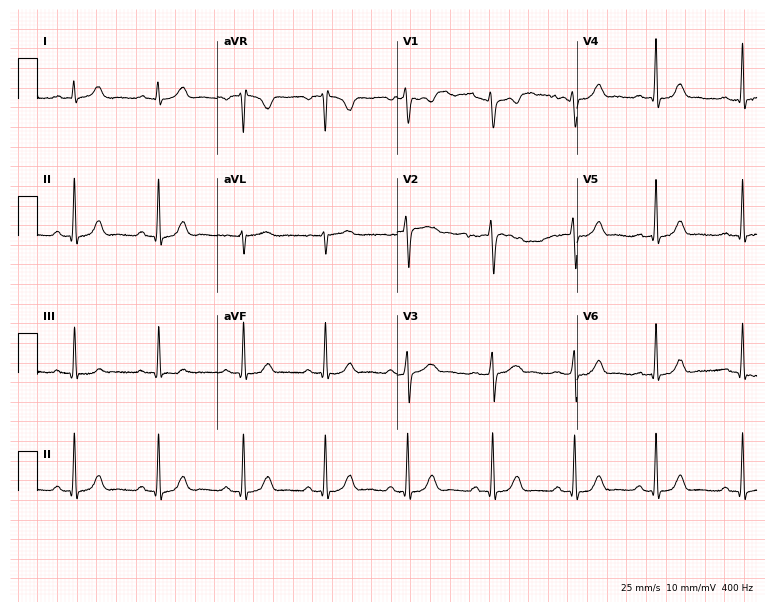
12-lead ECG (7.3-second recording at 400 Hz) from a female patient, 20 years old. Screened for six findings — first-degree AV block, right bundle branch block (RBBB), left bundle branch block (LBBB), sinus bradycardia, atrial fibrillation (AF), sinus tachycardia — none is recorded.